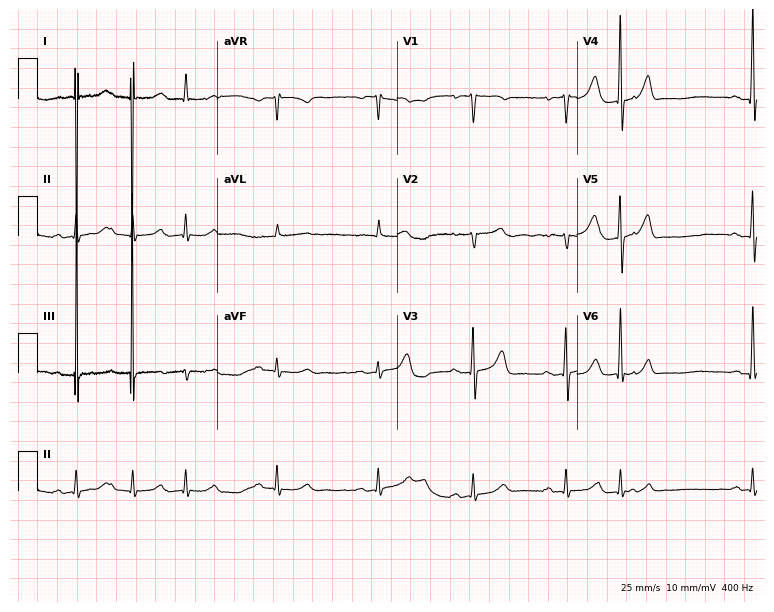
Resting 12-lead electrocardiogram. Patient: a 79-year-old male. None of these six findings is recorded: first-degree AV block, right bundle branch block, left bundle branch block, sinus bradycardia, atrial fibrillation, sinus tachycardia.